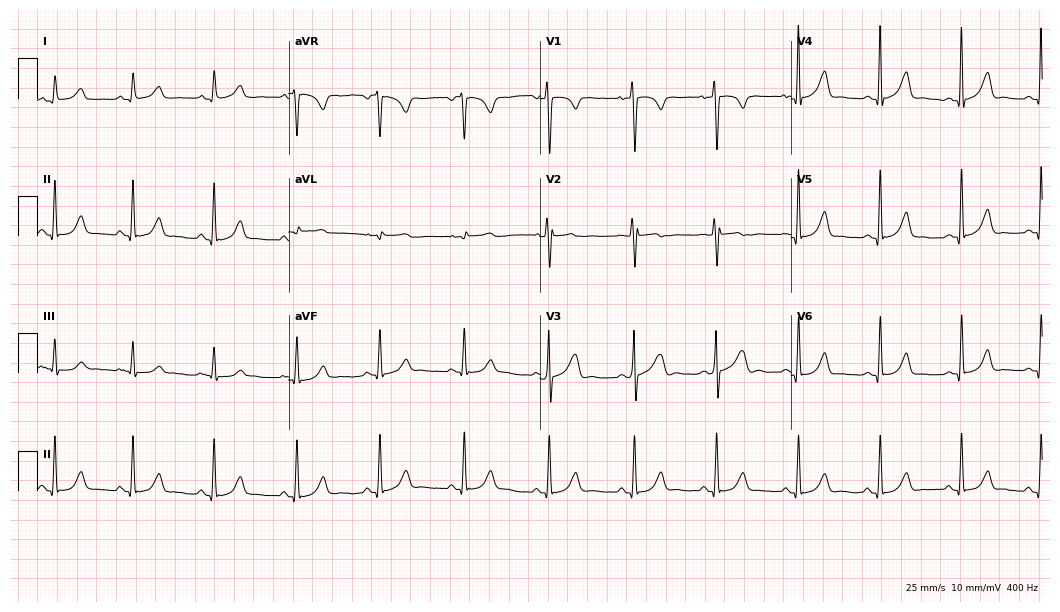
Electrocardiogram (10.2-second recording at 400 Hz), a male patient, 24 years old. Overall reading on record: normal ECG.